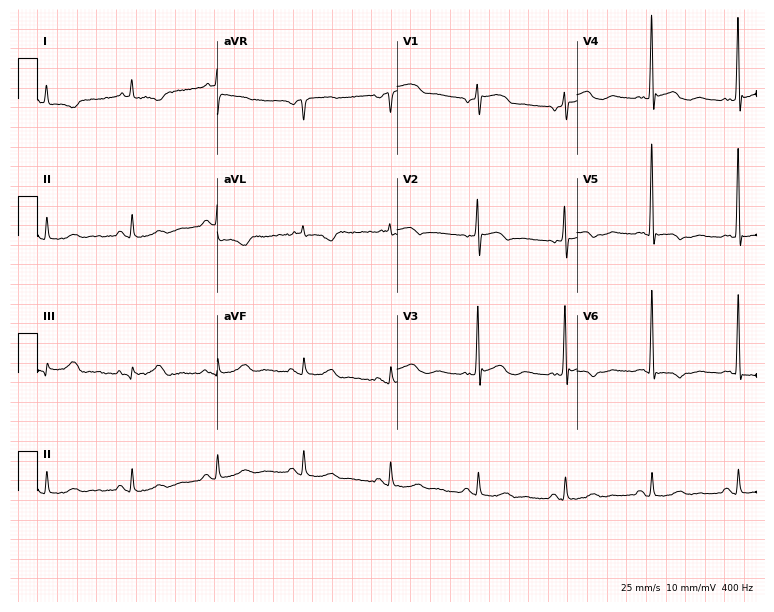
Electrocardiogram, a man, 72 years old. Of the six screened findings (first-degree AV block, right bundle branch block, left bundle branch block, sinus bradycardia, atrial fibrillation, sinus tachycardia), none is recorded.